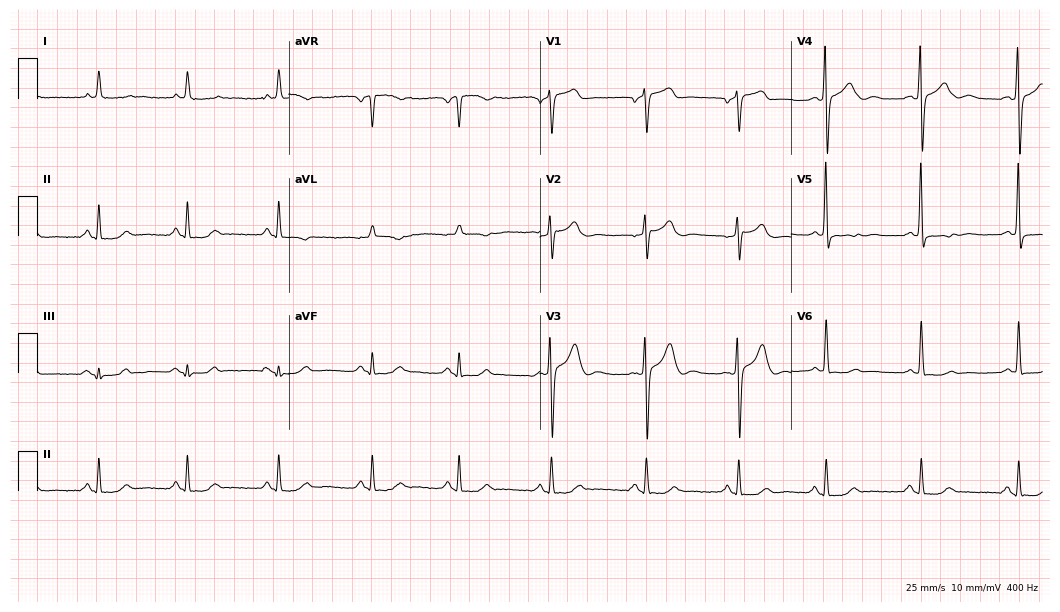
12-lead ECG (10.2-second recording at 400 Hz) from a female patient, 69 years old. Screened for six findings — first-degree AV block, right bundle branch block, left bundle branch block, sinus bradycardia, atrial fibrillation, sinus tachycardia — none is recorded.